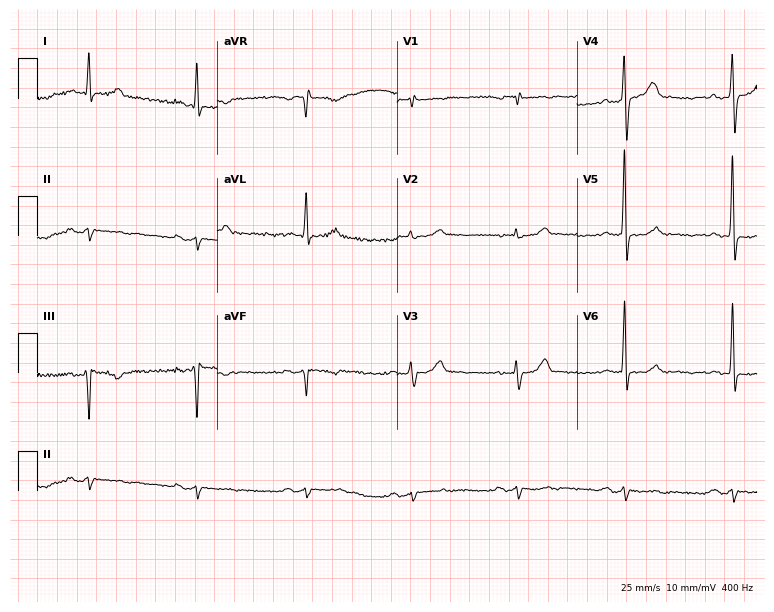
12-lead ECG from a male, 30 years old. Shows right bundle branch block (RBBB).